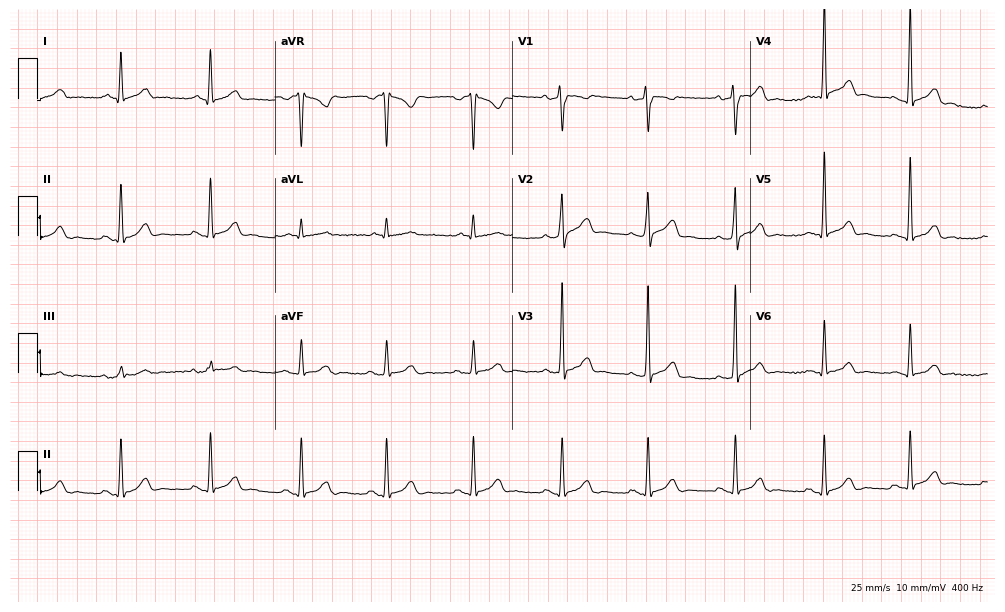
12-lead ECG from a male patient, 41 years old. Screened for six findings — first-degree AV block, right bundle branch block, left bundle branch block, sinus bradycardia, atrial fibrillation, sinus tachycardia — none is recorded.